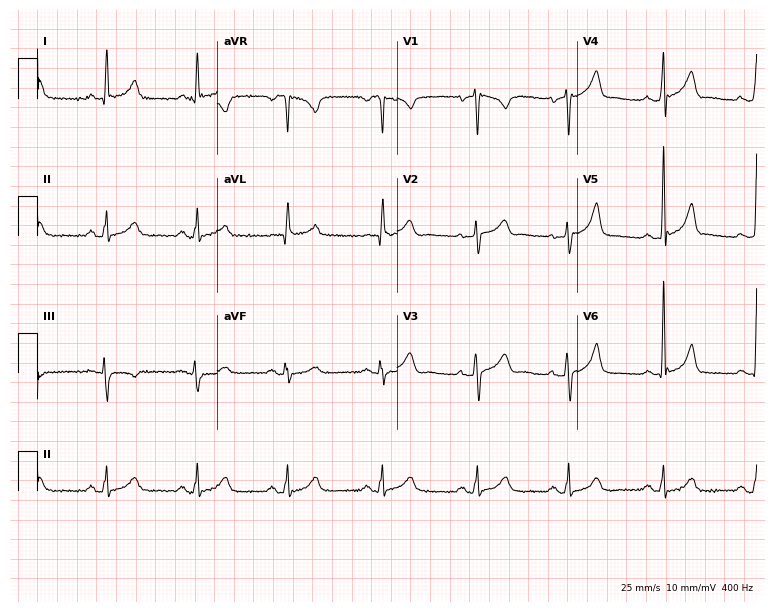
Resting 12-lead electrocardiogram (7.3-second recording at 400 Hz). Patient: a 68-year-old male. Read as a normal ECG.